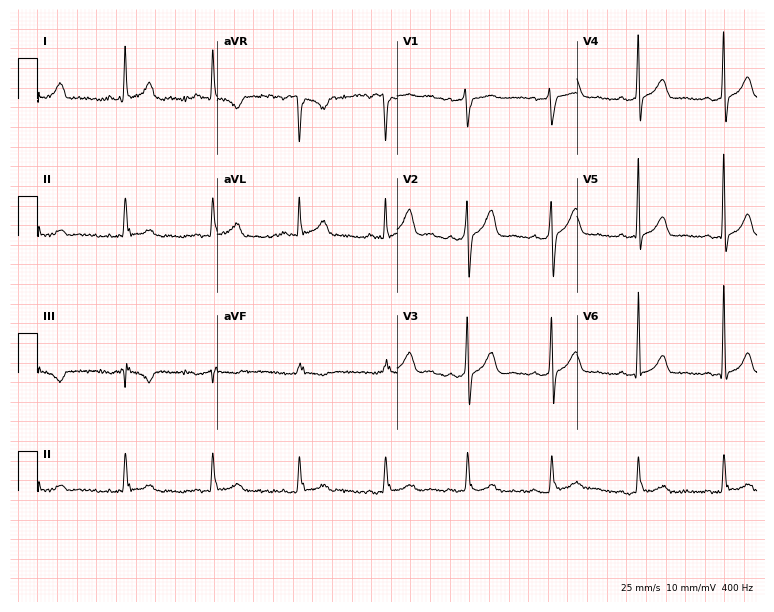
Standard 12-lead ECG recorded from a male, 38 years old (7.3-second recording at 400 Hz). None of these six findings is recorded: first-degree AV block, right bundle branch block, left bundle branch block, sinus bradycardia, atrial fibrillation, sinus tachycardia.